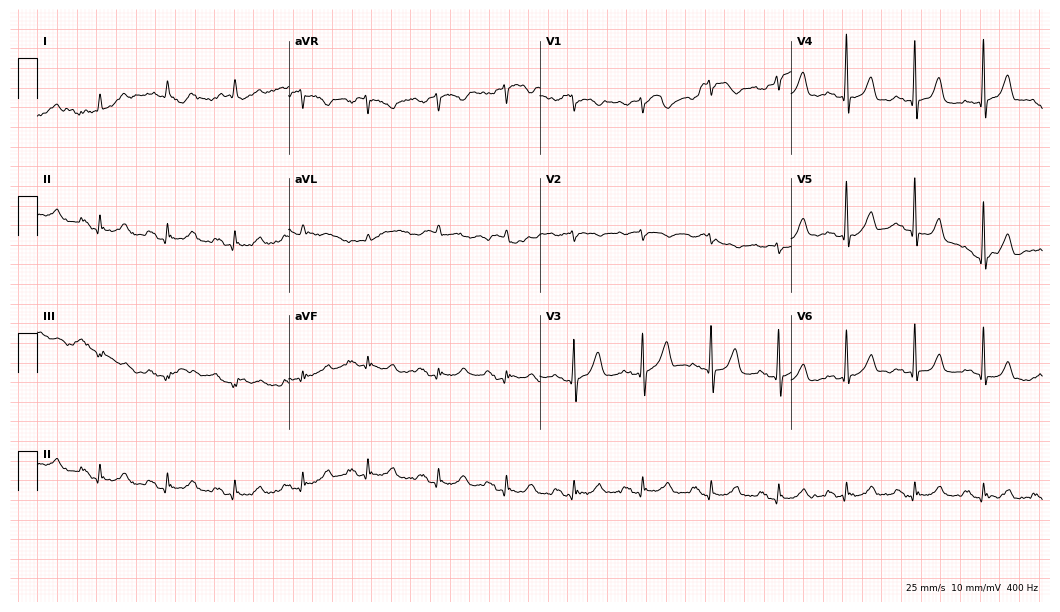
12-lead ECG from a female, 74 years old (10.2-second recording at 400 Hz). No first-degree AV block, right bundle branch block, left bundle branch block, sinus bradycardia, atrial fibrillation or sinus tachycardia recorded for this tracing. Only these six findings were labelled.